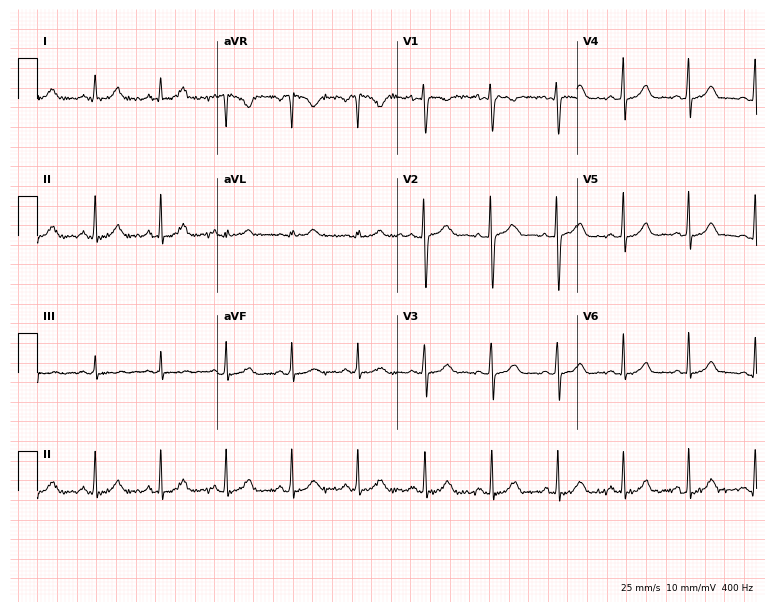
12-lead ECG from a woman, 25 years old. Recorded interpretation: within normal limits.